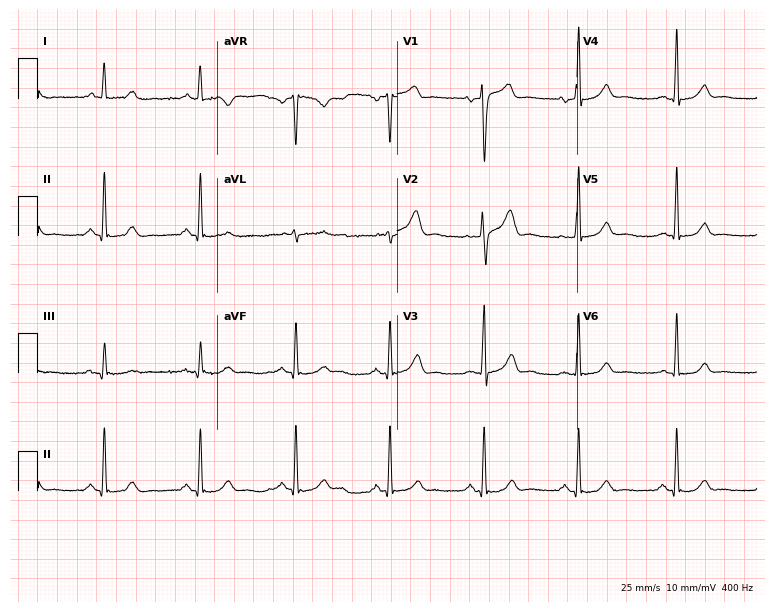
ECG — a male patient, 55 years old. Labelled as a normal ECG.